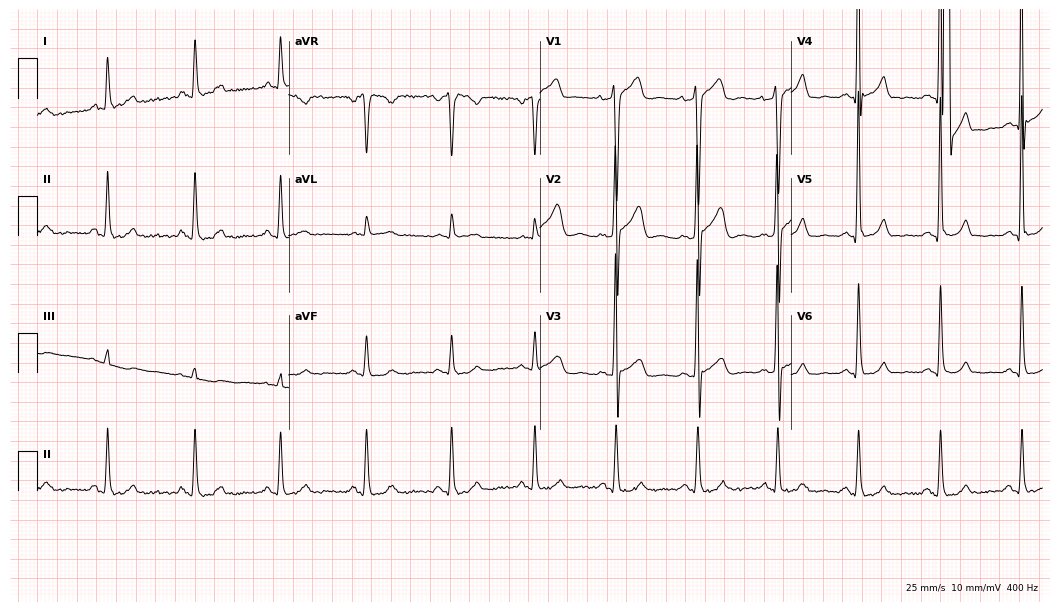
12-lead ECG from a 44-year-old man (10.2-second recording at 400 Hz). No first-degree AV block, right bundle branch block, left bundle branch block, sinus bradycardia, atrial fibrillation or sinus tachycardia recorded for this tracing. Findings outside these six are not listed.